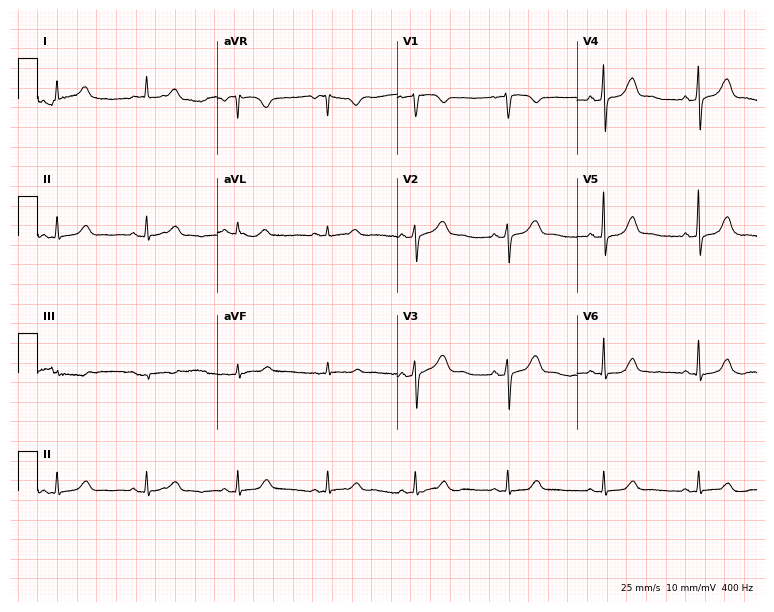
12-lead ECG (7.3-second recording at 400 Hz) from a 35-year-old female. Labelled as a normal ECG.